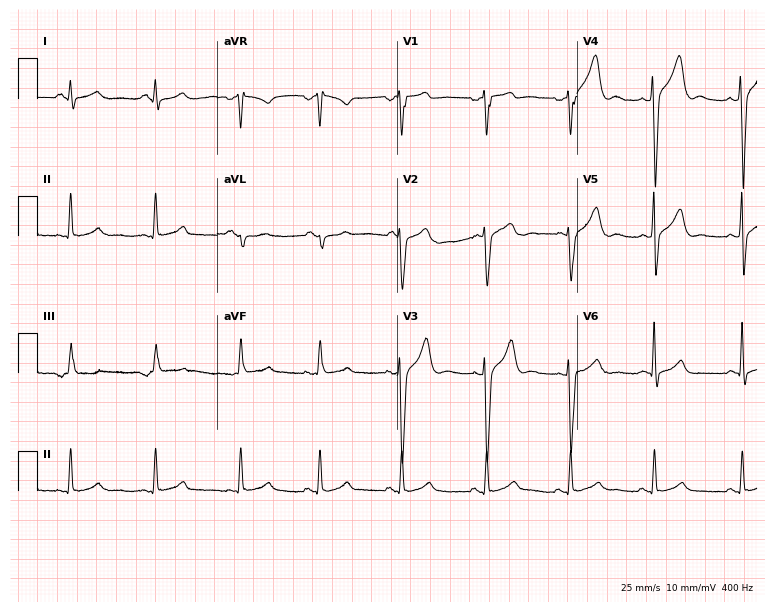
Standard 12-lead ECG recorded from a man, 39 years old. None of these six findings is recorded: first-degree AV block, right bundle branch block (RBBB), left bundle branch block (LBBB), sinus bradycardia, atrial fibrillation (AF), sinus tachycardia.